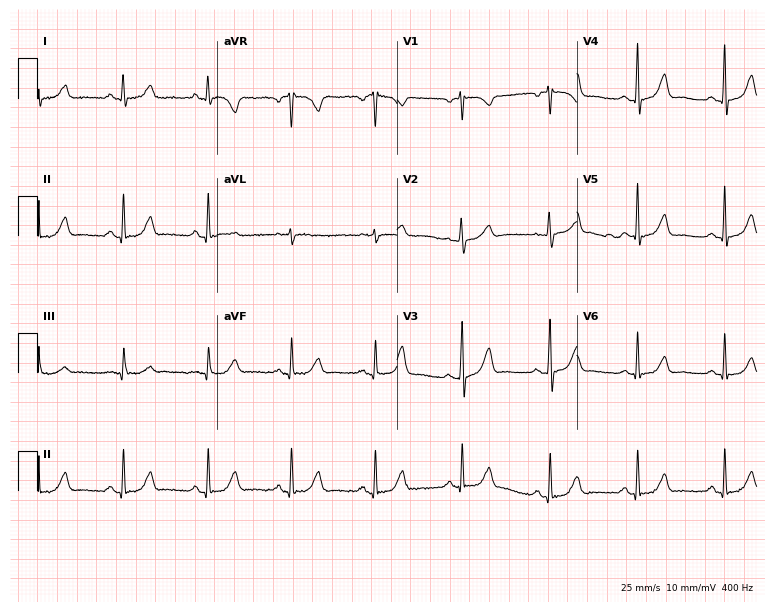
12-lead ECG from a 52-year-old female. Labelled as a normal ECG.